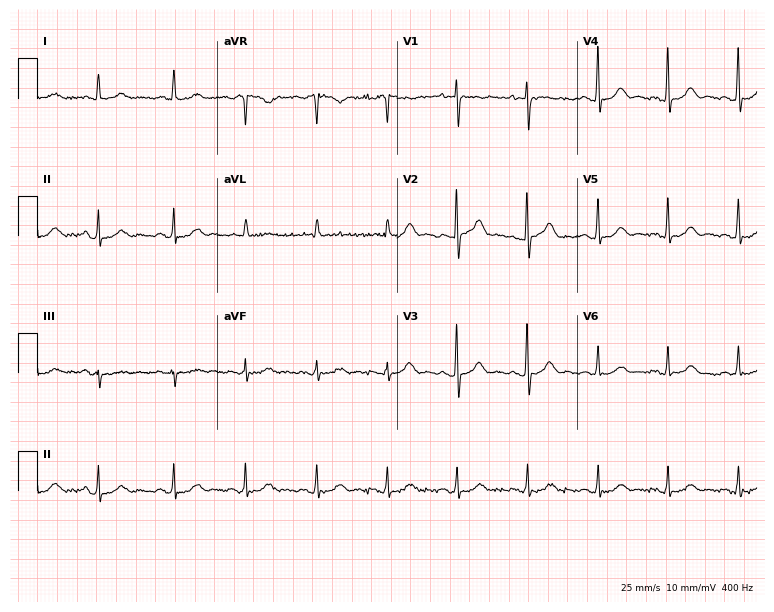
Electrocardiogram, an 80-year-old female patient. Of the six screened findings (first-degree AV block, right bundle branch block (RBBB), left bundle branch block (LBBB), sinus bradycardia, atrial fibrillation (AF), sinus tachycardia), none is recorded.